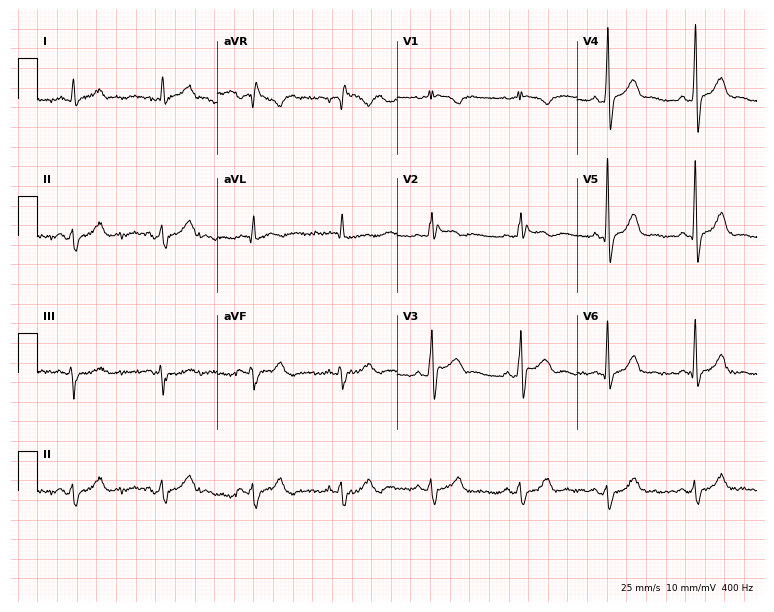
ECG (7.3-second recording at 400 Hz) — a male, 62 years old. Screened for six findings — first-degree AV block, right bundle branch block, left bundle branch block, sinus bradycardia, atrial fibrillation, sinus tachycardia — none is recorded. Only these six findings were labelled.